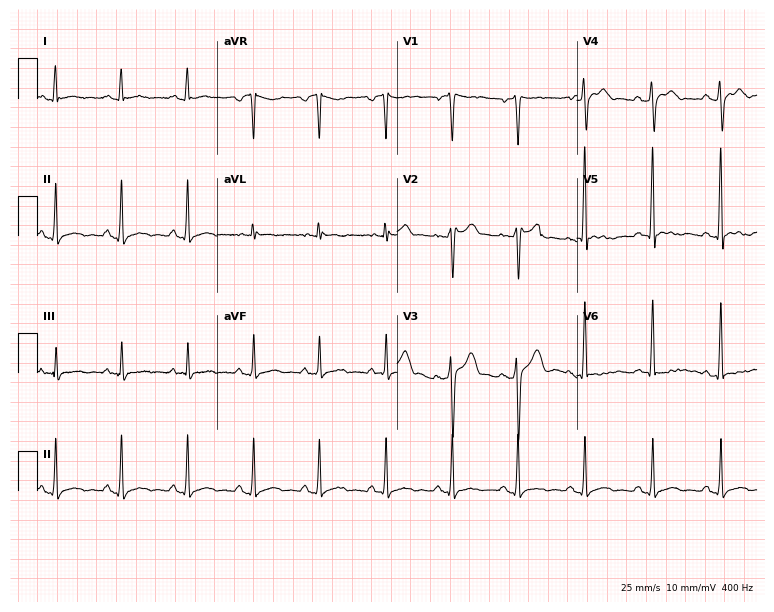
Standard 12-lead ECG recorded from a 33-year-old man (7.3-second recording at 400 Hz). Read as a normal ECG.